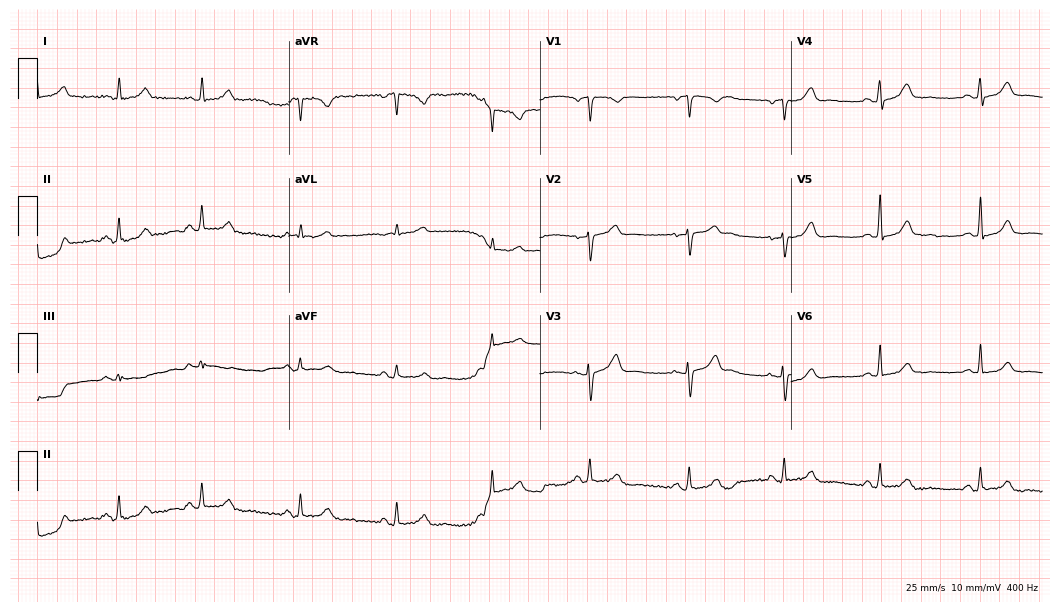
ECG (10.2-second recording at 400 Hz) — a 54-year-old woman. Labelled as a normal ECG.